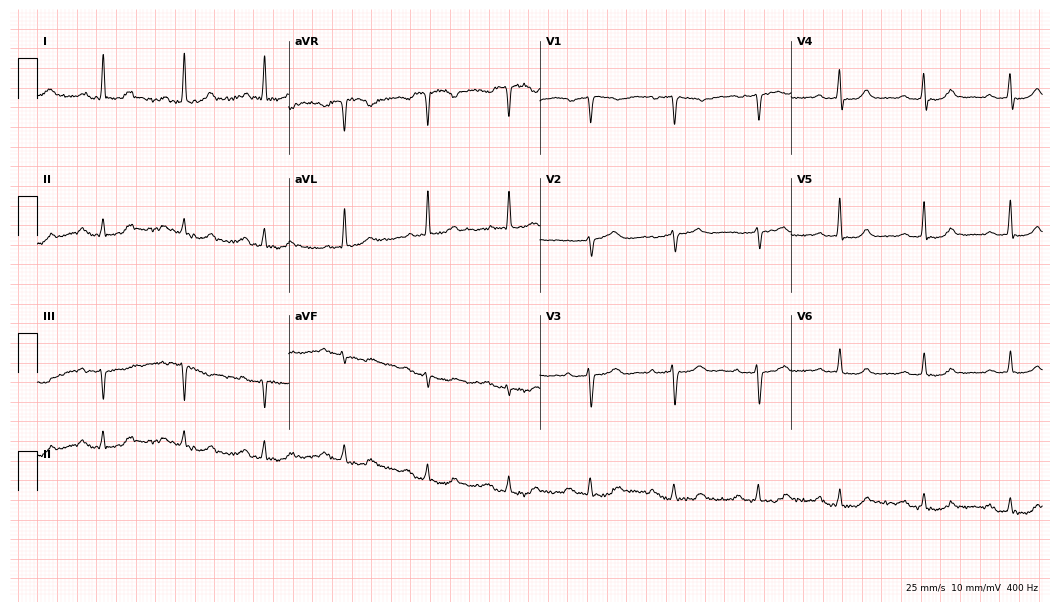
12-lead ECG from a woman, 69 years old. Labelled as a normal ECG.